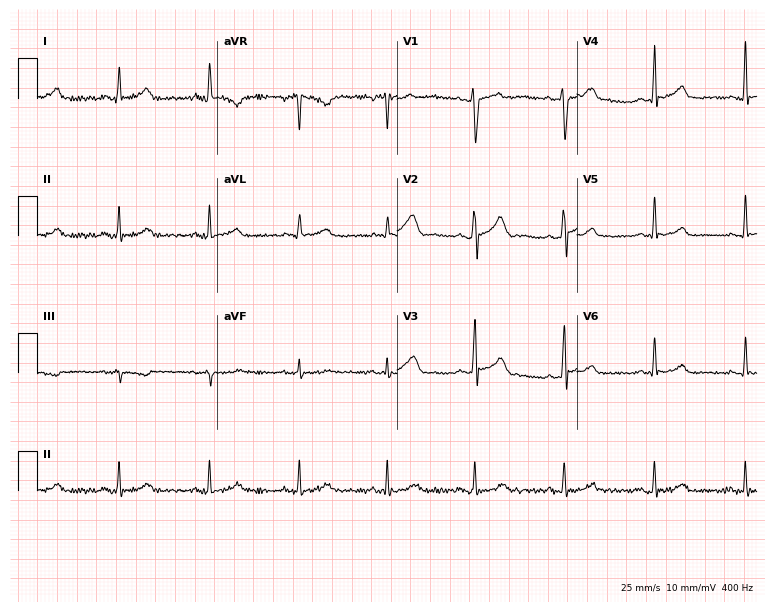
ECG — a 31-year-old male patient. Labelled as a normal ECG.